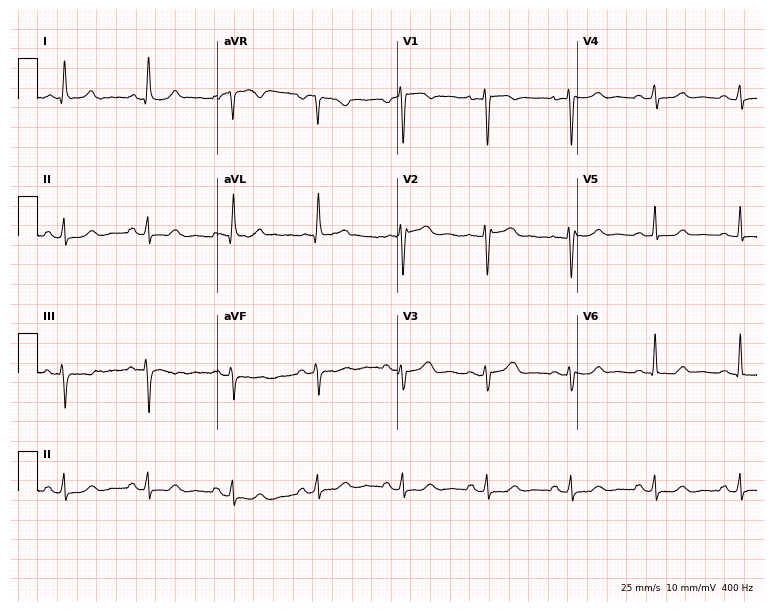
Standard 12-lead ECG recorded from a 50-year-old woman (7.3-second recording at 400 Hz). Read as a normal ECG.